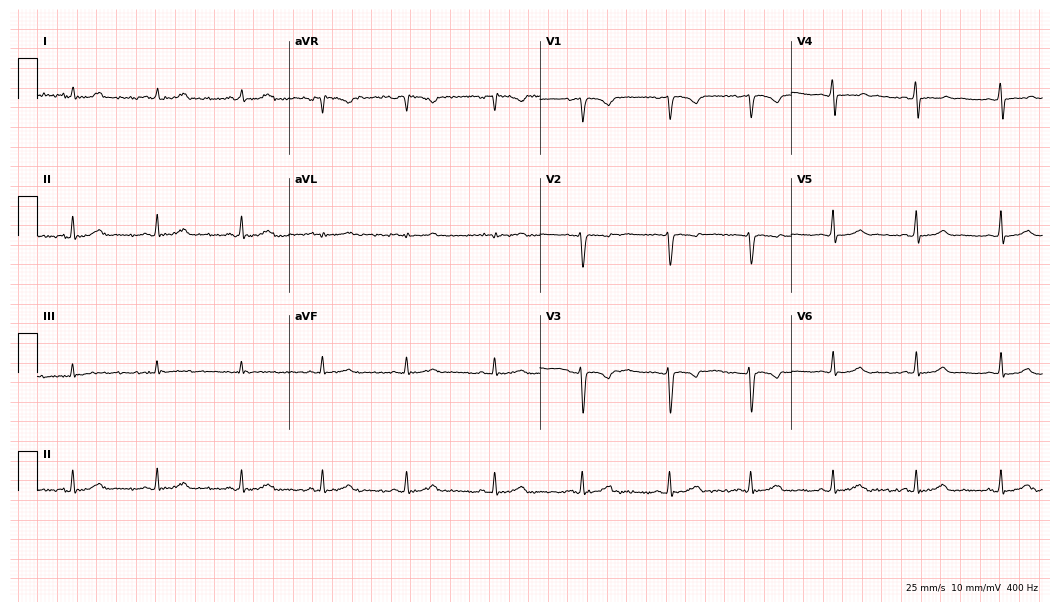
12-lead ECG (10.2-second recording at 400 Hz) from a 28-year-old woman. Screened for six findings — first-degree AV block, right bundle branch block (RBBB), left bundle branch block (LBBB), sinus bradycardia, atrial fibrillation (AF), sinus tachycardia — none is recorded. Only these six findings were labelled.